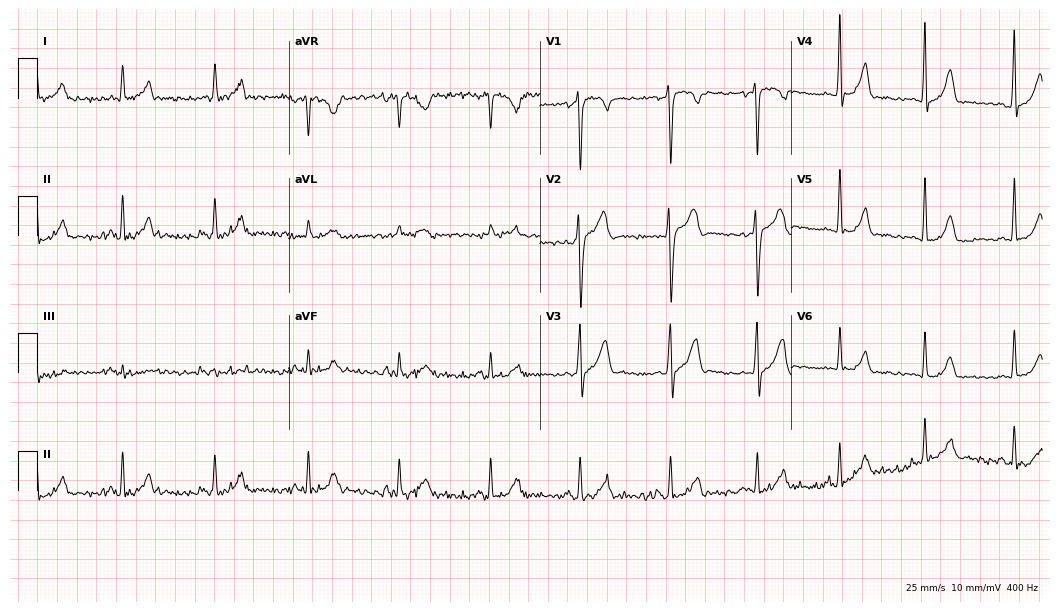
Electrocardiogram (10.2-second recording at 400 Hz), a man, 30 years old. Overall reading on record: normal ECG.